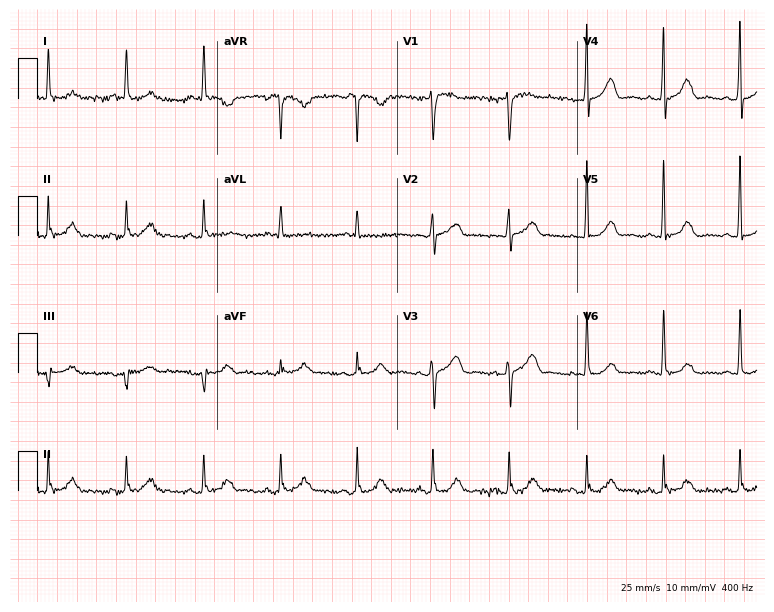
ECG — a female, 75 years old. Labelled as a normal ECG.